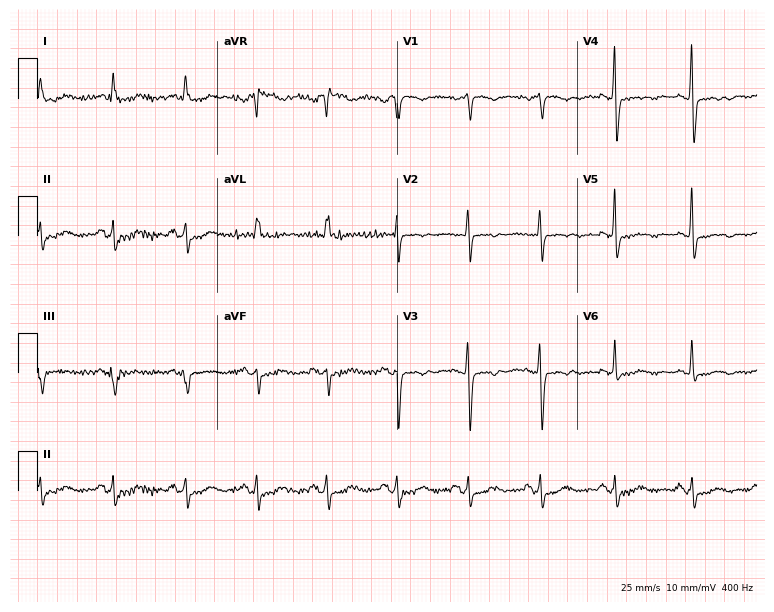
Resting 12-lead electrocardiogram. Patient: a 72-year-old female. None of these six findings is recorded: first-degree AV block, right bundle branch block (RBBB), left bundle branch block (LBBB), sinus bradycardia, atrial fibrillation (AF), sinus tachycardia.